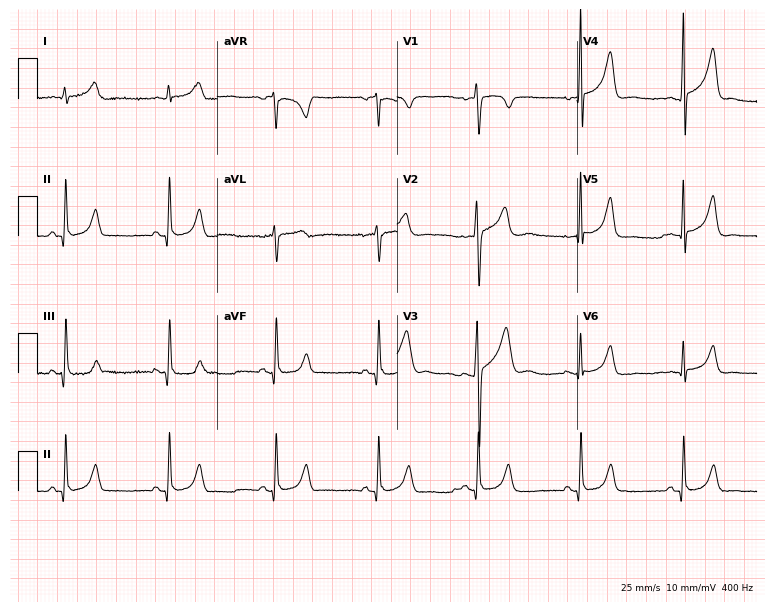
Resting 12-lead electrocardiogram. Patient: a male, 23 years old. Read as a normal ECG.